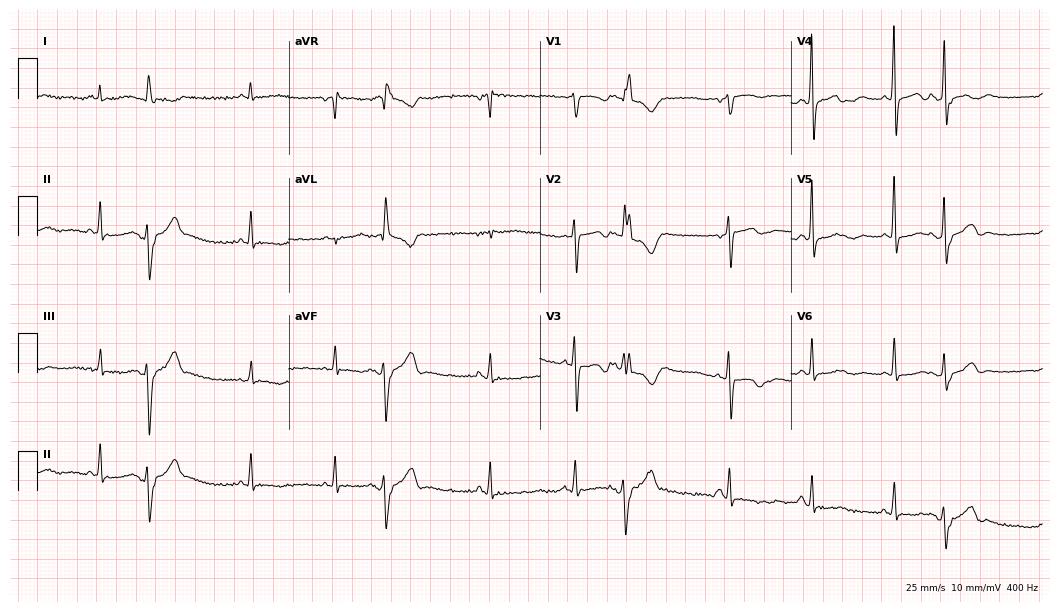
ECG (10.2-second recording at 400 Hz) — a woman, 75 years old. Screened for six findings — first-degree AV block, right bundle branch block, left bundle branch block, sinus bradycardia, atrial fibrillation, sinus tachycardia — none is recorded.